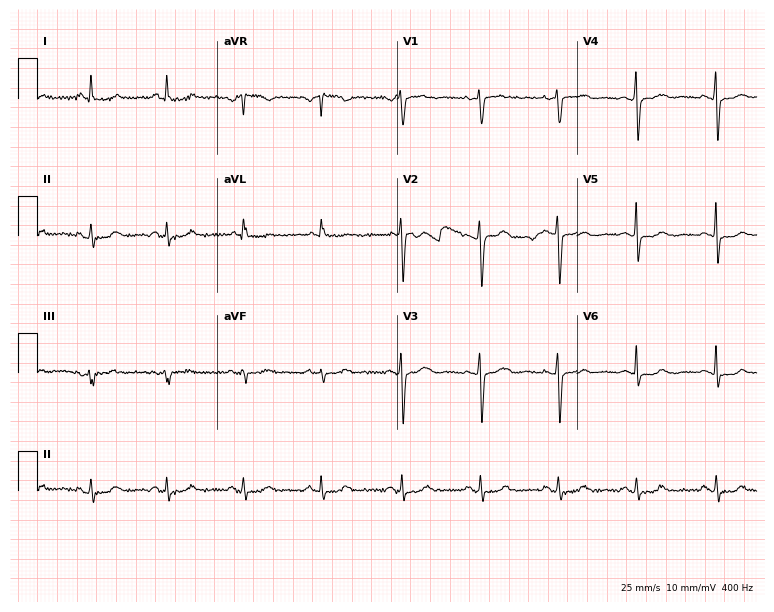
Resting 12-lead electrocardiogram (7.3-second recording at 400 Hz). Patient: a woman, 50 years old. None of these six findings is recorded: first-degree AV block, right bundle branch block, left bundle branch block, sinus bradycardia, atrial fibrillation, sinus tachycardia.